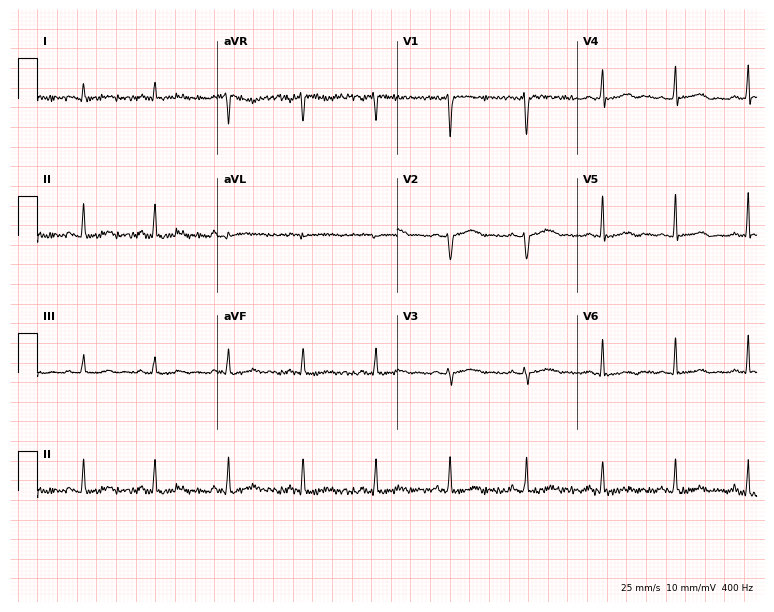
ECG — a 35-year-old female. Screened for six findings — first-degree AV block, right bundle branch block (RBBB), left bundle branch block (LBBB), sinus bradycardia, atrial fibrillation (AF), sinus tachycardia — none is recorded. Findings outside these six are not listed.